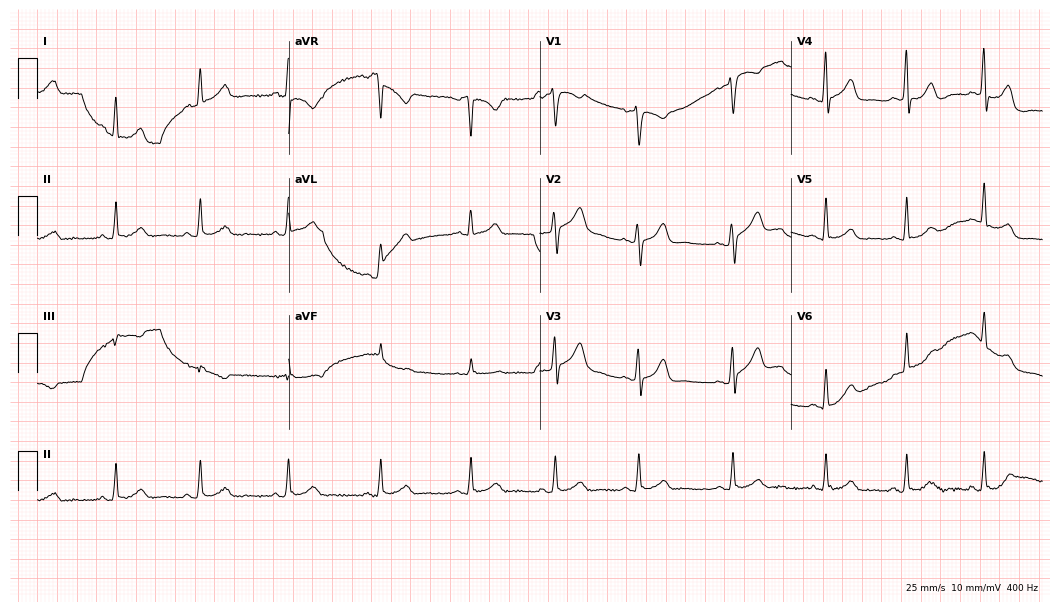
12-lead ECG (10.2-second recording at 400 Hz) from a female patient, 42 years old. Labelled as a normal ECG.